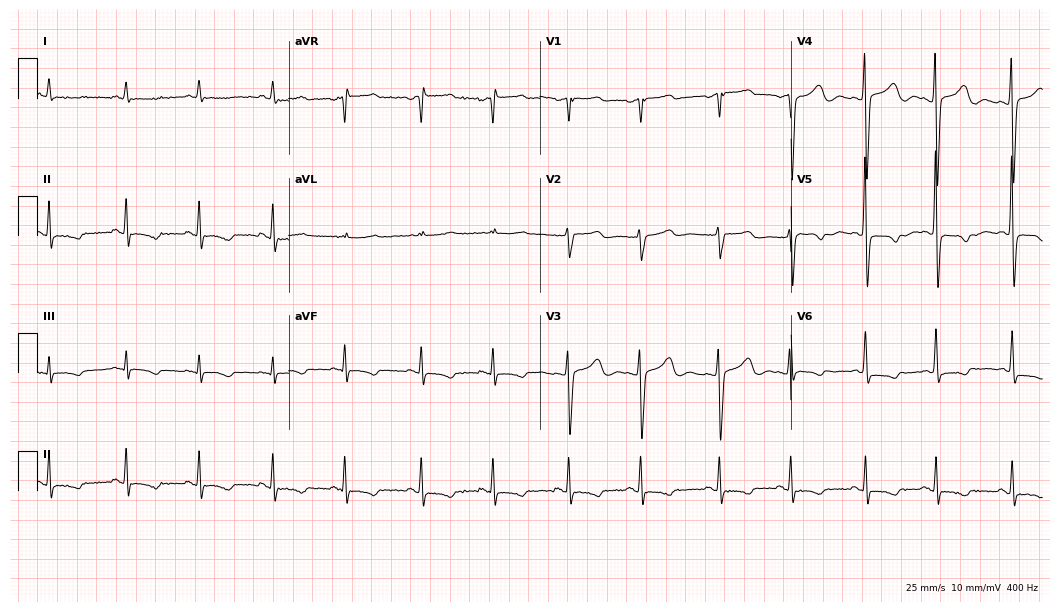
ECG (10.2-second recording at 400 Hz) — a man, 61 years old. Screened for six findings — first-degree AV block, right bundle branch block (RBBB), left bundle branch block (LBBB), sinus bradycardia, atrial fibrillation (AF), sinus tachycardia — none is recorded. Other findings, if any, are not listed.